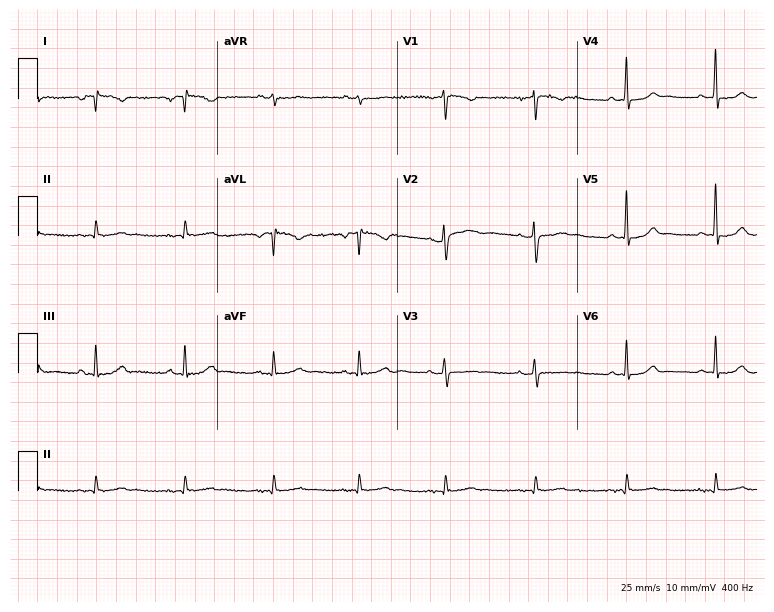
Electrocardiogram, a 33-year-old female. Of the six screened findings (first-degree AV block, right bundle branch block, left bundle branch block, sinus bradycardia, atrial fibrillation, sinus tachycardia), none is recorded.